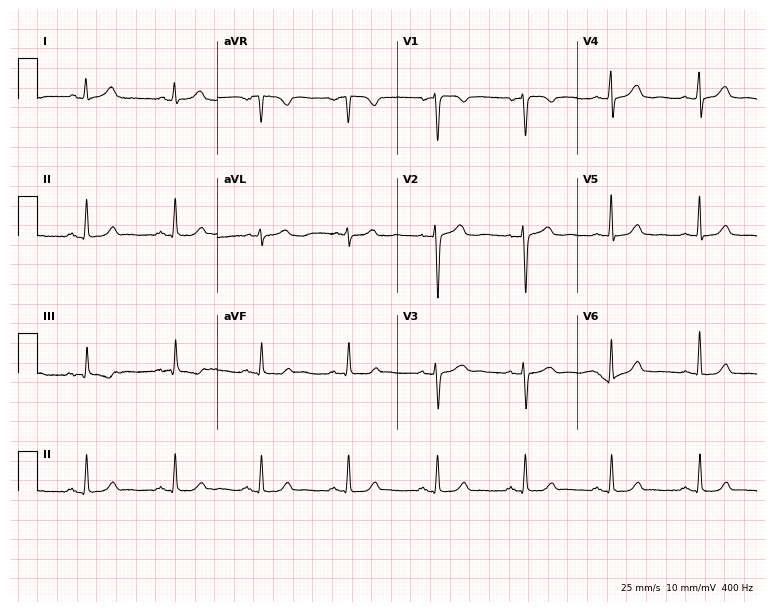
Standard 12-lead ECG recorded from a 53-year-old woman (7.3-second recording at 400 Hz). None of these six findings is recorded: first-degree AV block, right bundle branch block, left bundle branch block, sinus bradycardia, atrial fibrillation, sinus tachycardia. Other findings, if any, are not listed.